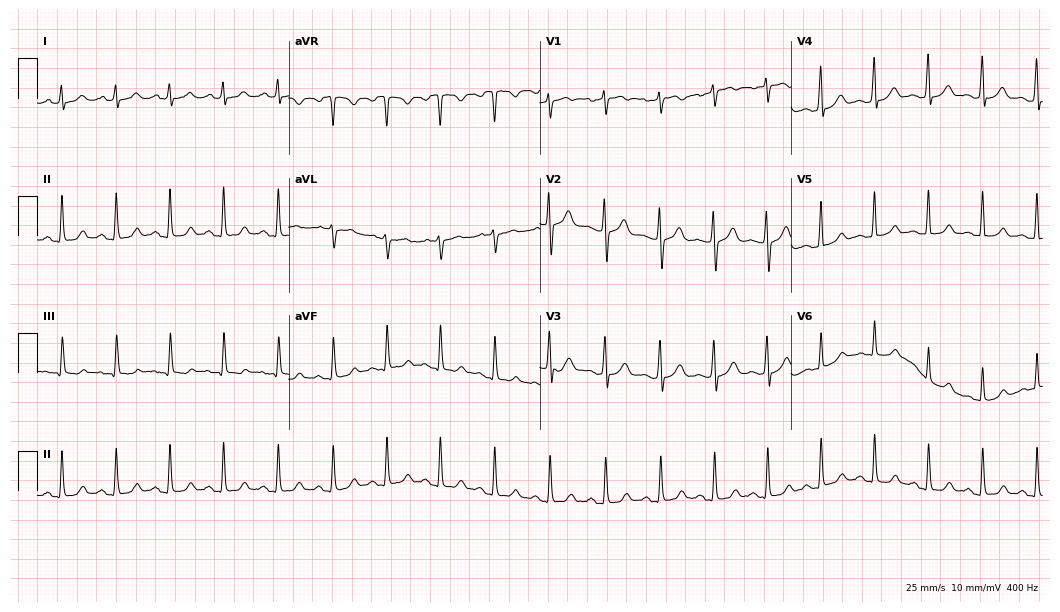
Resting 12-lead electrocardiogram. Patient: a female, 23 years old. The tracing shows sinus tachycardia (a sinus rate of 100 beats per minute or more).